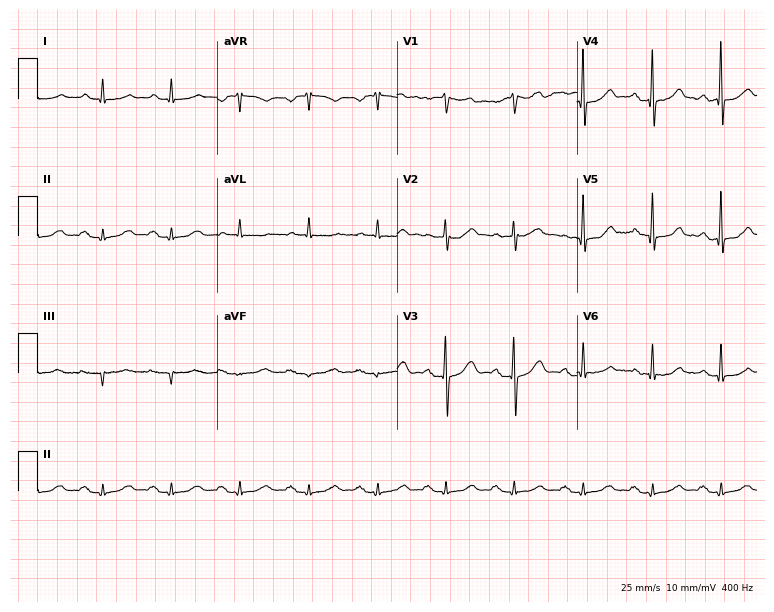
12-lead ECG from a 73-year-old man. Recorded interpretation: within normal limits.